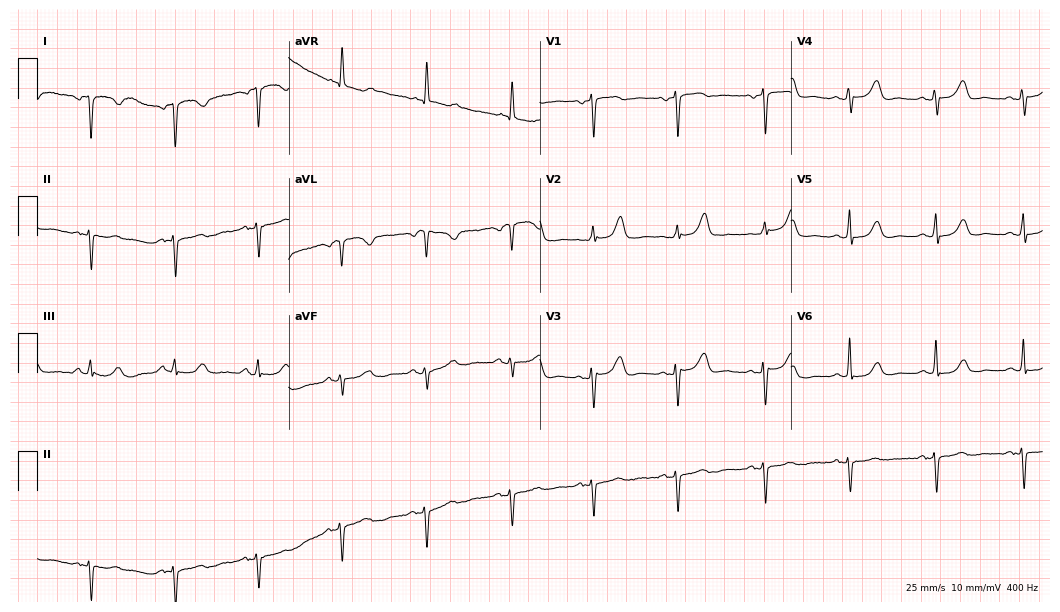
Standard 12-lead ECG recorded from a woman, 80 years old. None of these six findings is recorded: first-degree AV block, right bundle branch block (RBBB), left bundle branch block (LBBB), sinus bradycardia, atrial fibrillation (AF), sinus tachycardia.